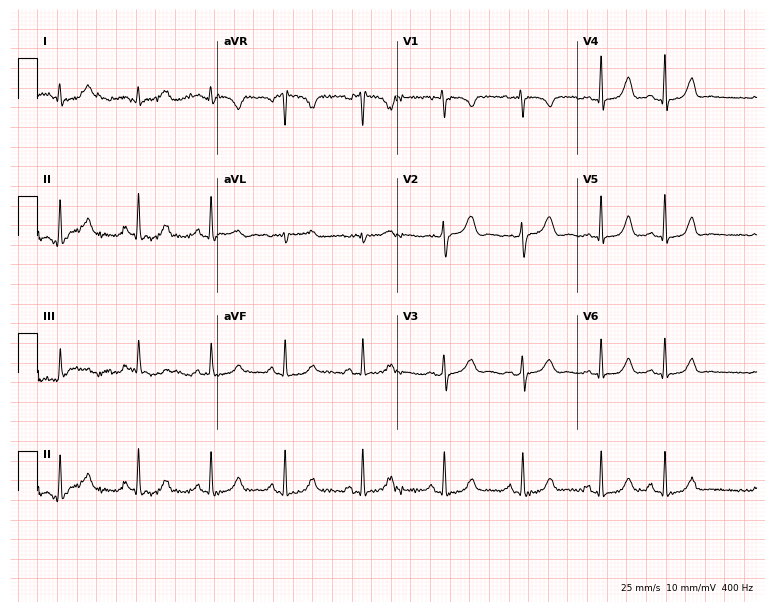
Resting 12-lead electrocardiogram (7.3-second recording at 400 Hz). Patient: a woman, 38 years old. None of these six findings is recorded: first-degree AV block, right bundle branch block, left bundle branch block, sinus bradycardia, atrial fibrillation, sinus tachycardia. Findings outside these six are not listed.